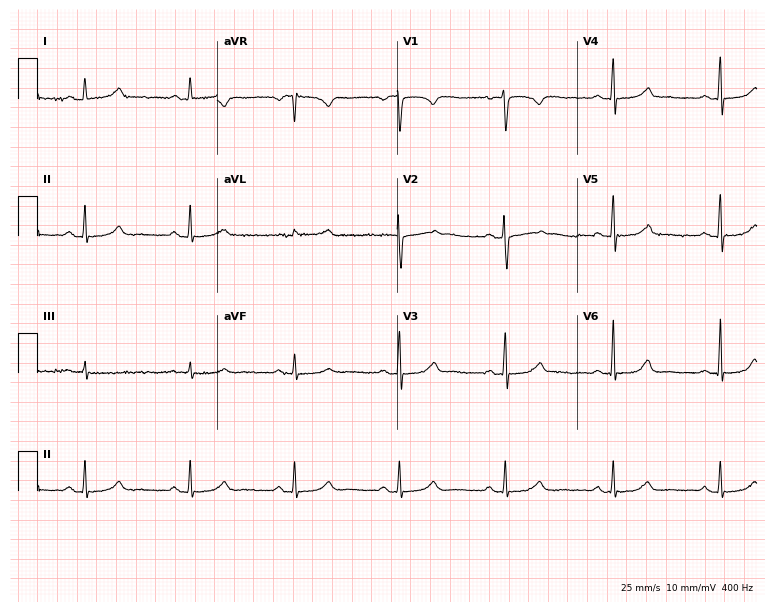
12-lead ECG from a 32-year-old female patient. Labelled as a normal ECG.